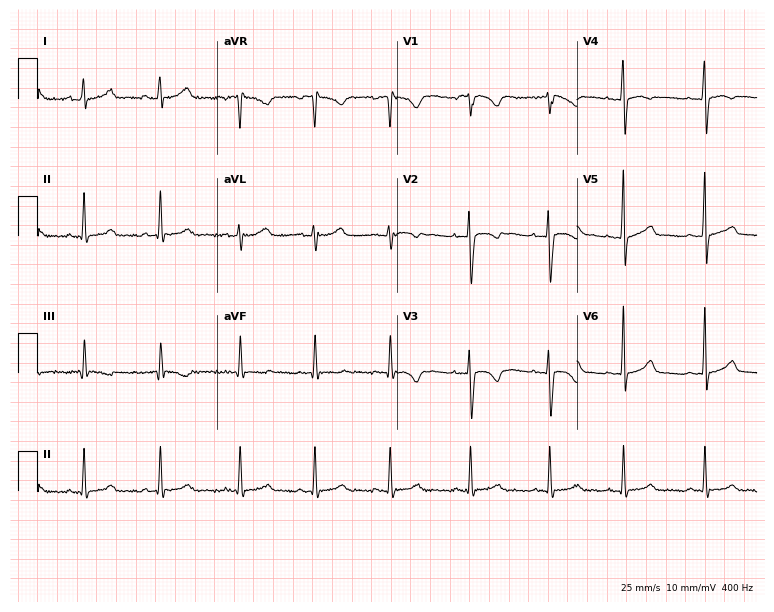
Standard 12-lead ECG recorded from a female, 21 years old. Read as a normal ECG.